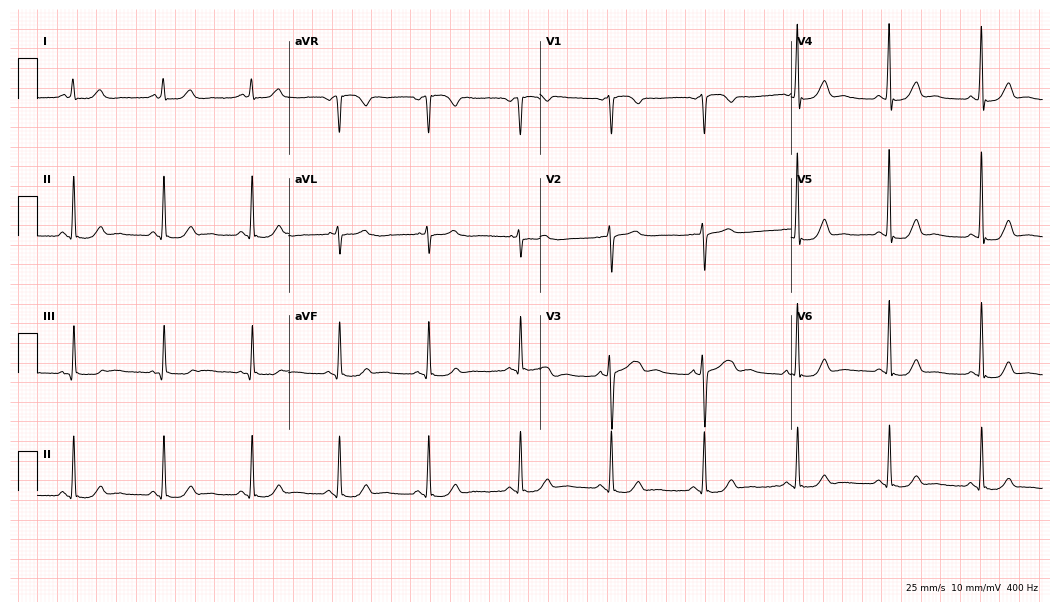
12-lead ECG from a 55-year-old female. No first-degree AV block, right bundle branch block (RBBB), left bundle branch block (LBBB), sinus bradycardia, atrial fibrillation (AF) or sinus tachycardia recorded for this tracing. Other findings, if any, are not listed.